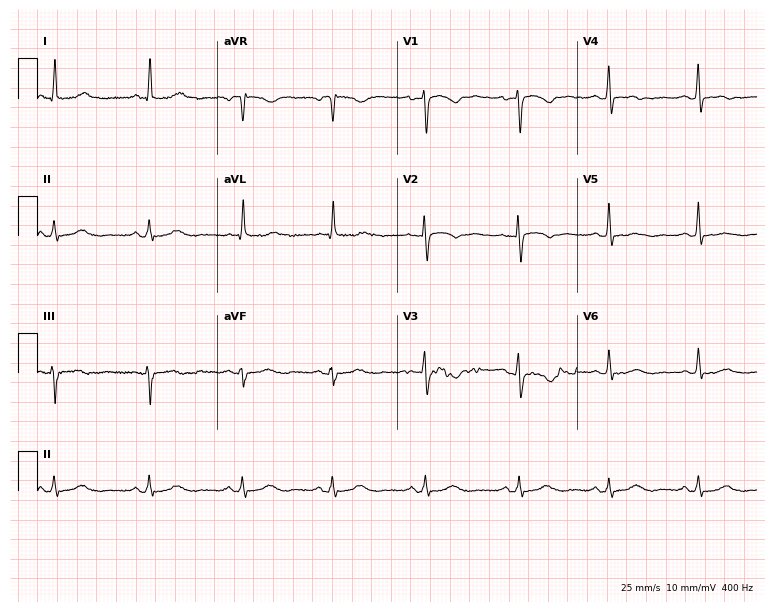
ECG — a 47-year-old female patient. Screened for six findings — first-degree AV block, right bundle branch block, left bundle branch block, sinus bradycardia, atrial fibrillation, sinus tachycardia — none is recorded.